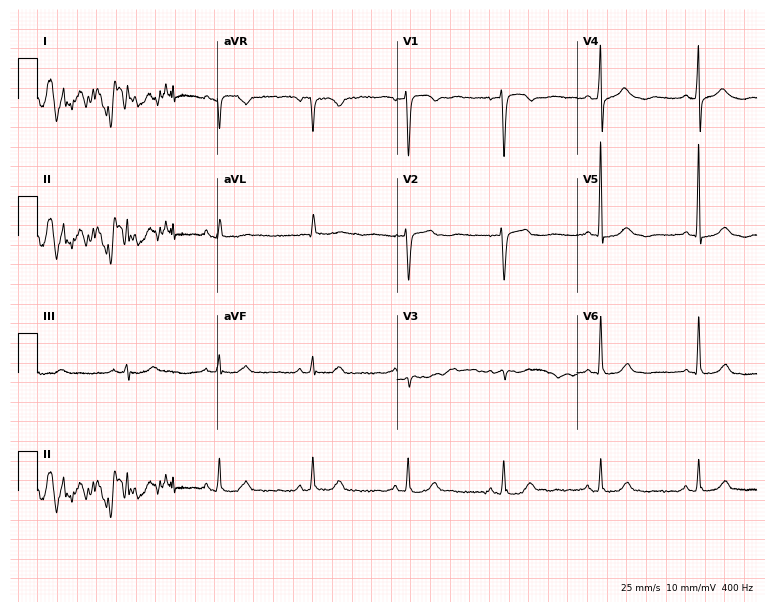
Standard 12-lead ECG recorded from a woman, 72 years old (7.3-second recording at 400 Hz). Read as a normal ECG.